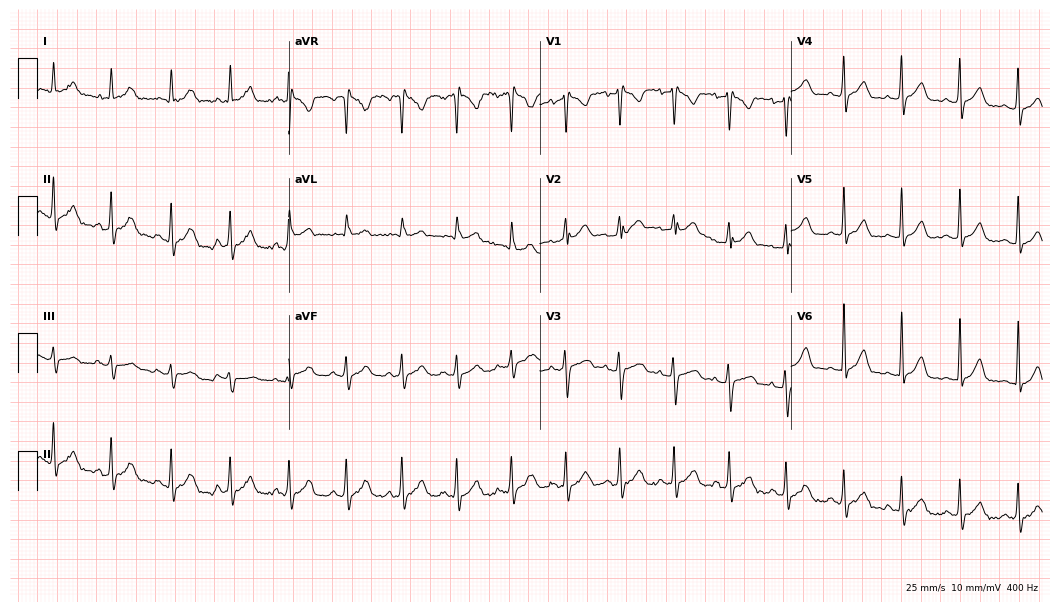
Electrocardiogram (10.2-second recording at 400 Hz), a woman, 39 years old. Interpretation includes sinus tachycardia (a sinus rate of 100 beats per minute or more).